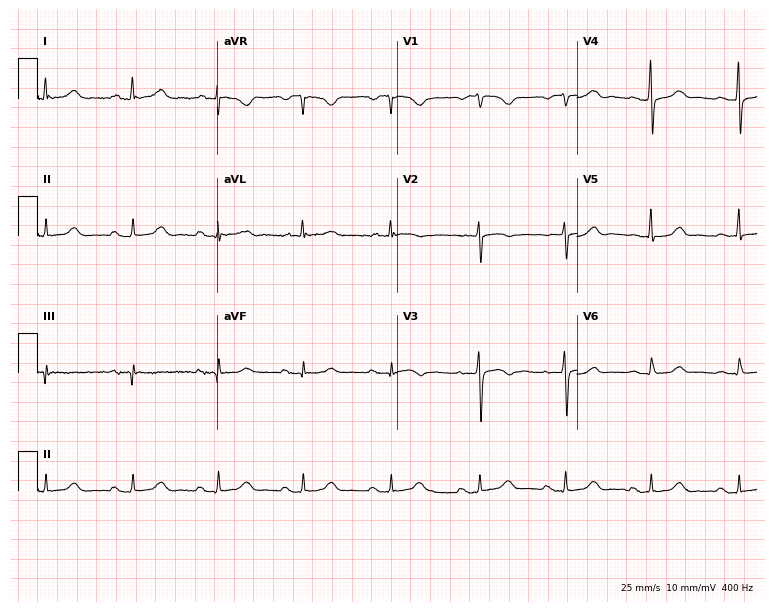
Resting 12-lead electrocardiogram. Patient: a 65-year-old woman. Read as a normal ECG.